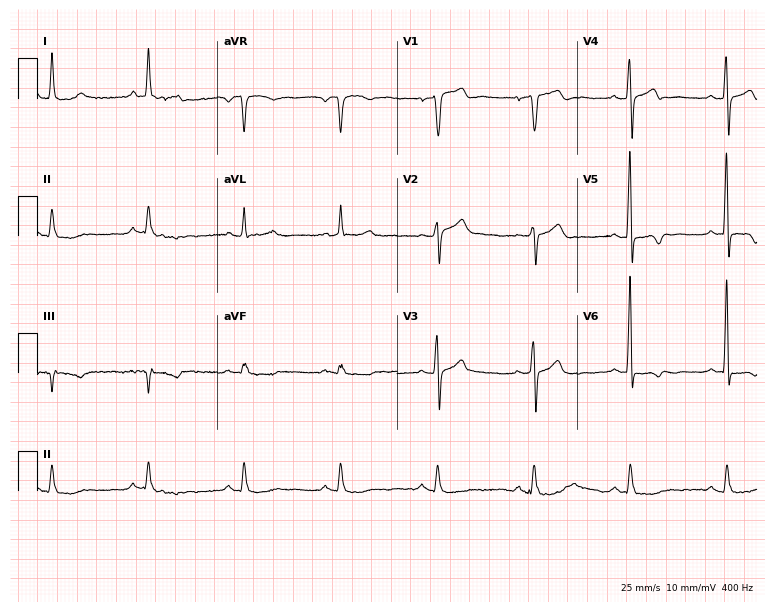
12-lead ECG (7.3-second recording at 400 Hz) from a man, 56 years old. Screened for six findings — first-degree AV block, right bundle branch block, left bundle branch block, sinus bradycardia, atrial fibrillation, sinus tachycardia — none is recorded.